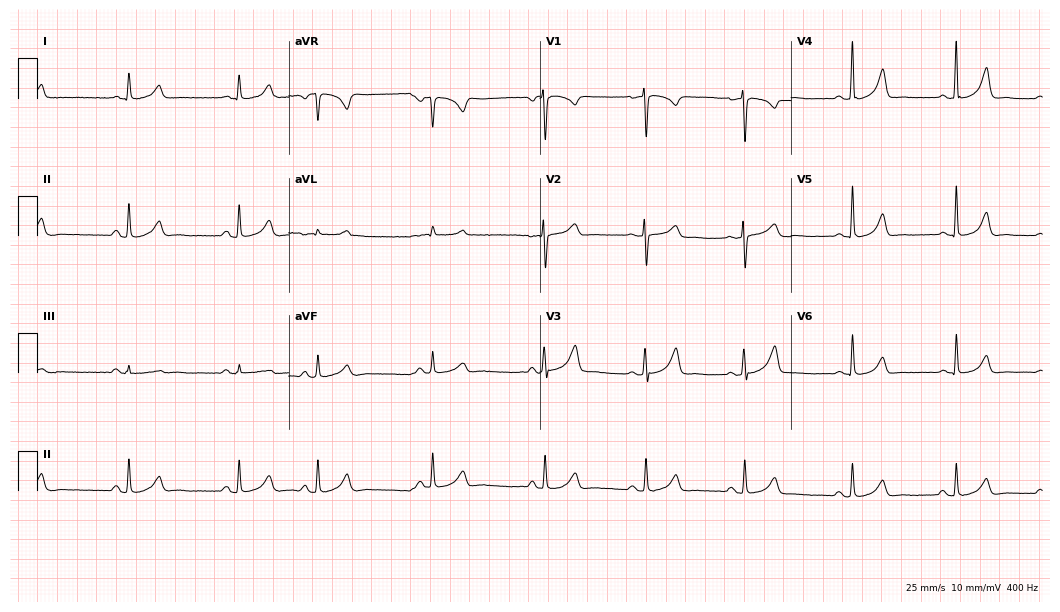
ECG — a 42-year-old female patient. Screened for six findings — first-degree AV block, right bundle branch block (RBBB), left bundle branch block (LBBB), sinus bradycardia, atrial fibrillation (AF), sinus tachycardia — none is recorded. Findings outside these six are not listed.